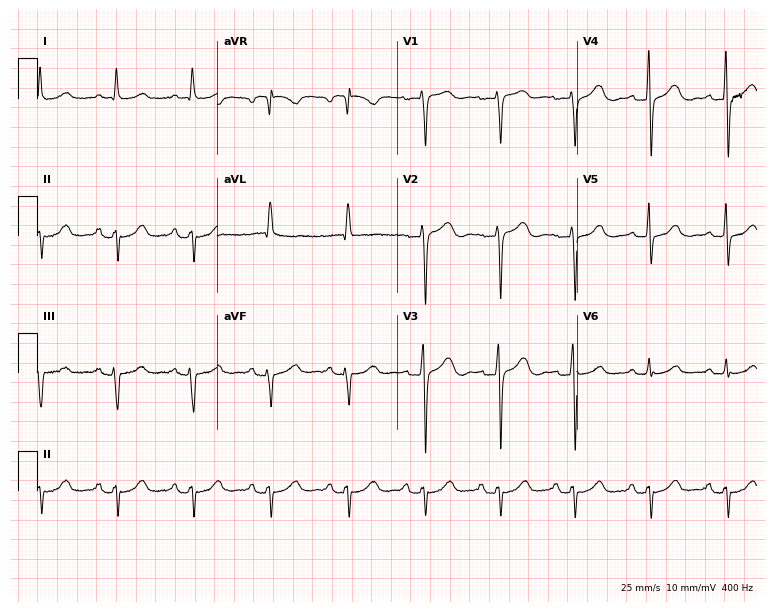
12-lead ECG (7.3-second recording at 400 Hz) from a 71-year-old female patient. Labelled as a normal ECG.